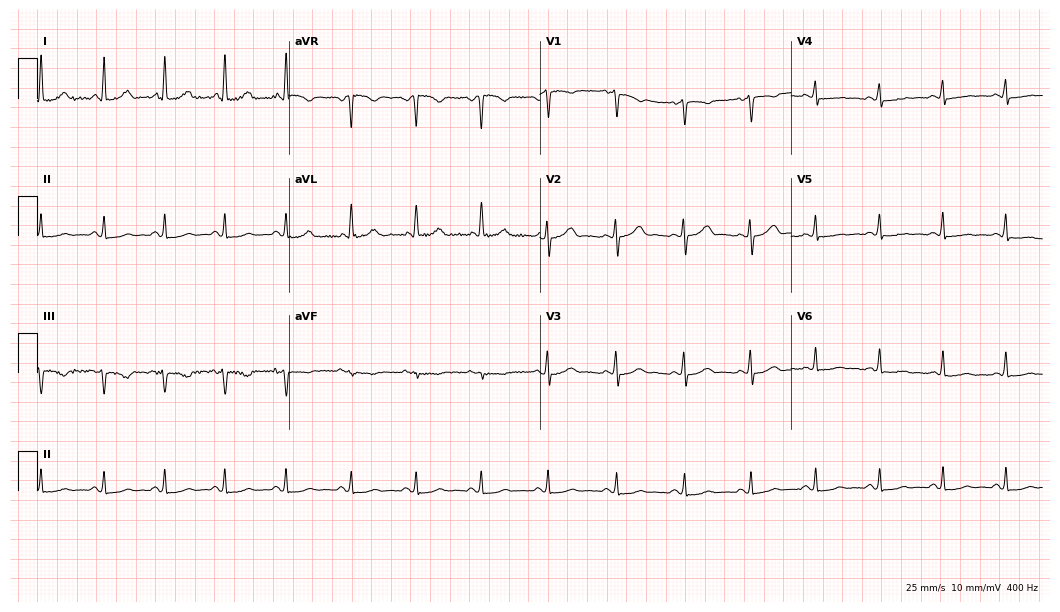
ECG — a female patient, 58 years old. Labelled as a normal ECG.